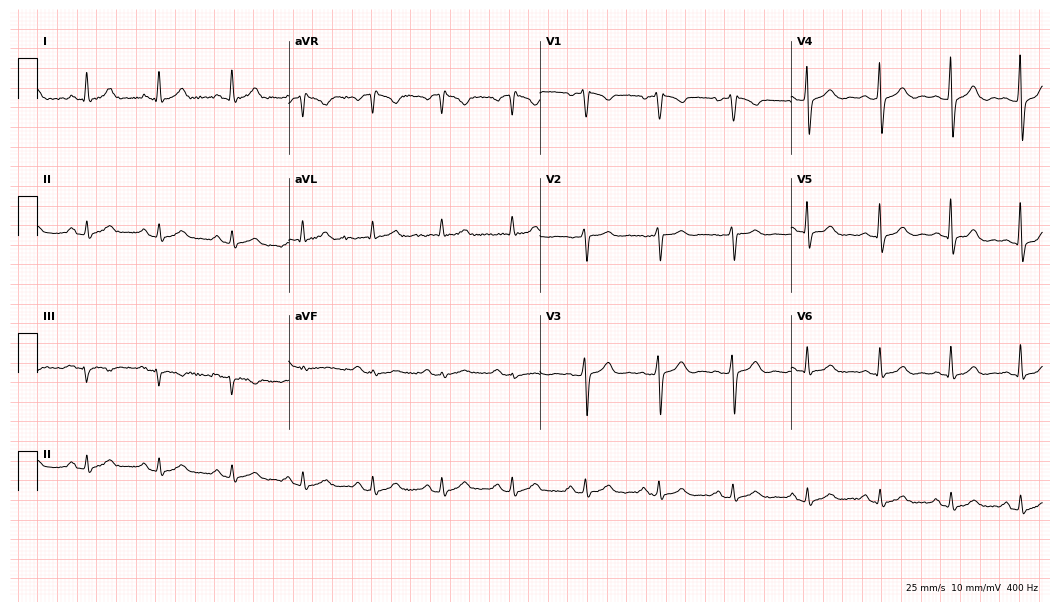
Electrocardiogram (10.2-second recording at 400 Hz), a 47-year-old female patient. Overall reading on record: normal ECG.